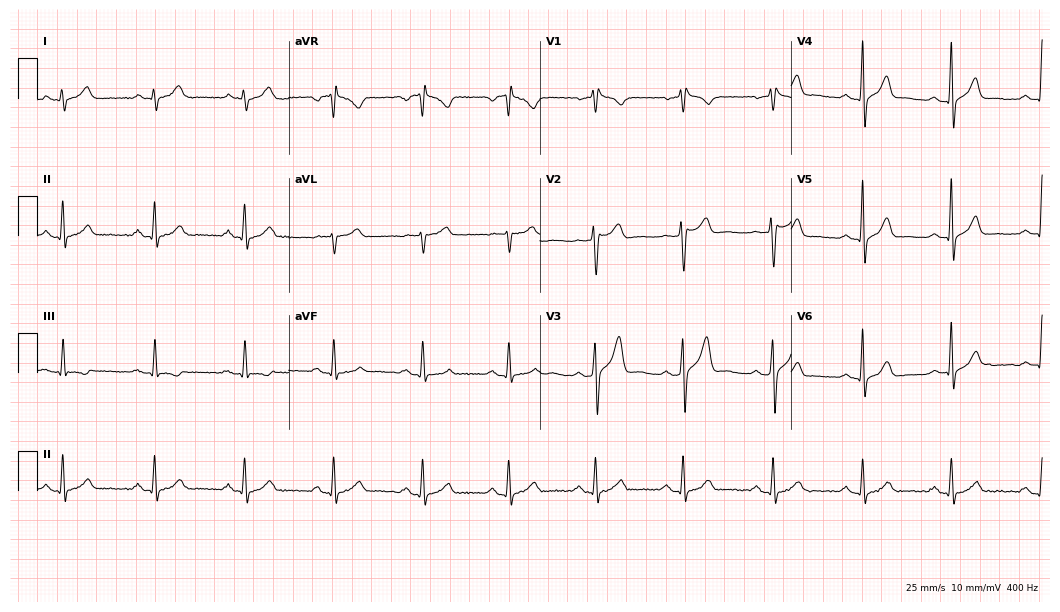
ECG (10.2-second recording at 400 Hz) — a male, 52 years old. Labelled as a normal ECG.